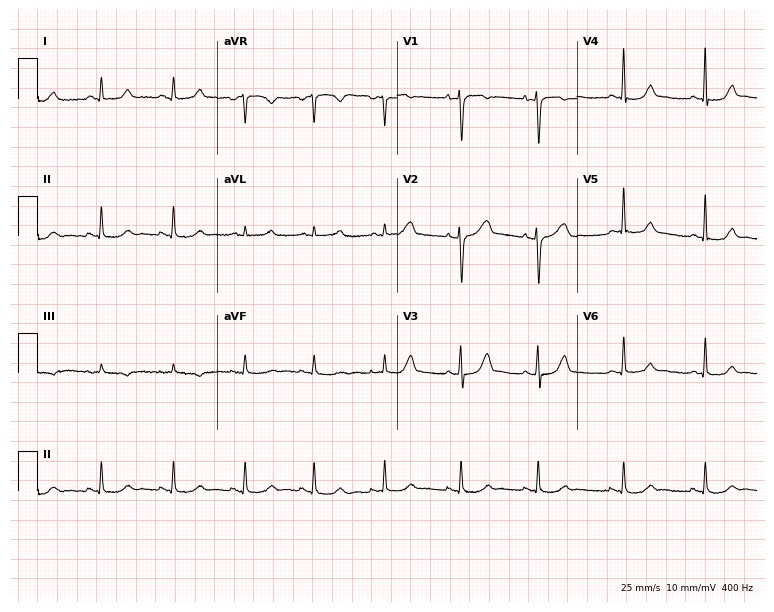
Standard 12-lead ECG recorded from a 40-year-old woman (7.3-second recording at 400 Hz). None of these six findings is recorded: first-degree AV block, right bundle branch block (RBBB), left bundle branch block (LBBB), sinus bradycardia, atrial fibrillation (AF), sinus tachycardia.